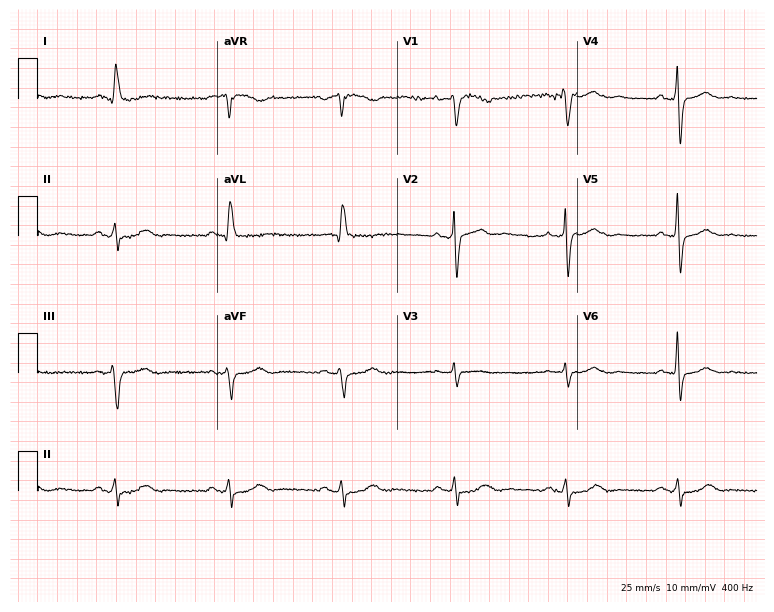
12-lead ECG from a male, 69 years old. Screened for six findings — first-degree AV block, right bundle branch block, left bundle branch block, sinus bradycardia, atrial fibrillation, sinus tachycardia — none is recorded.